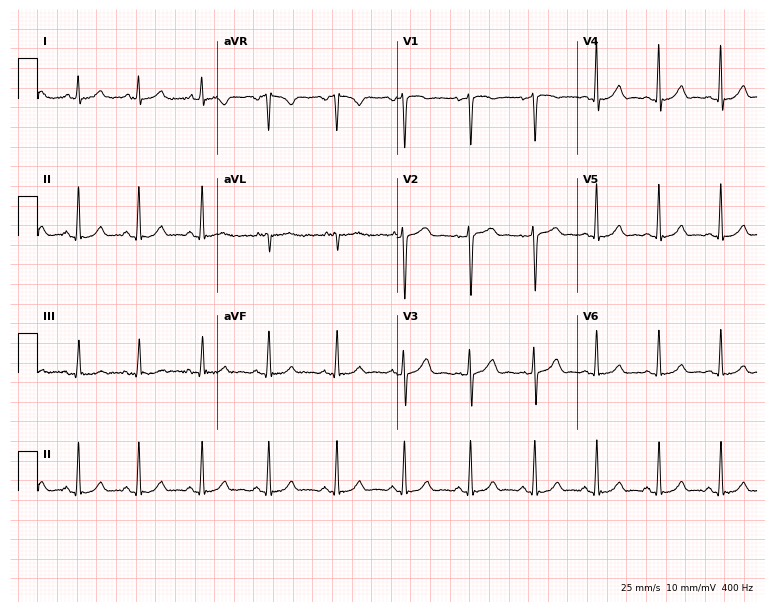
12-lead ECG from a woman, 42 years old. Screened for six findings — first-degree AV block, right bundle branch block, left bundle branch block, sinus bradycardia, atrial fibrillation, sinus tachycardia — none is recorded. Only these six findings were labelled.